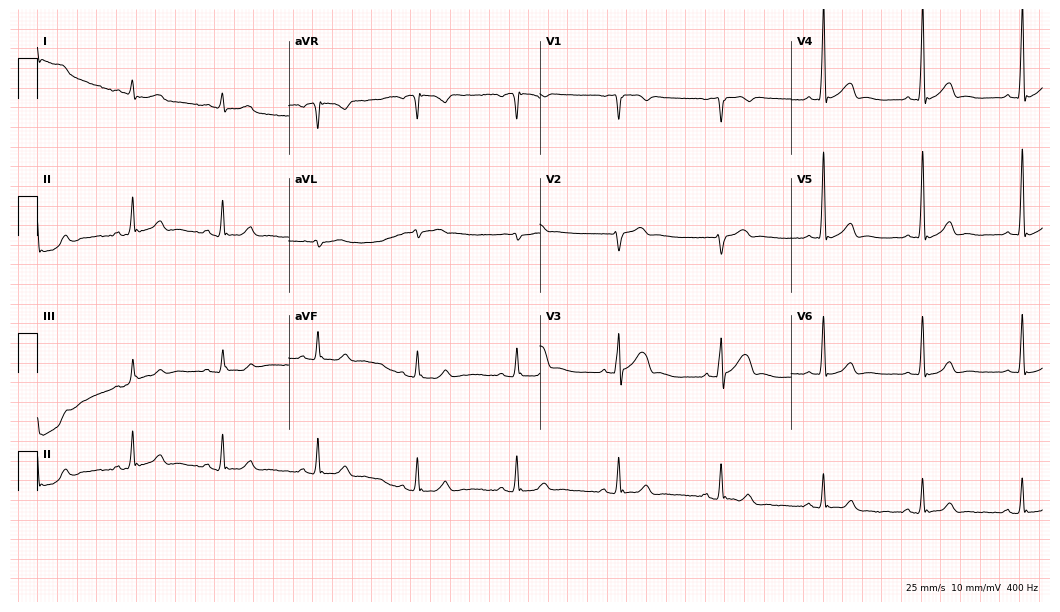
Electrocardiogram (10.2-second recording at 400 Hz), a 41-year-old male patient. Overall reading on record: normal ECG.